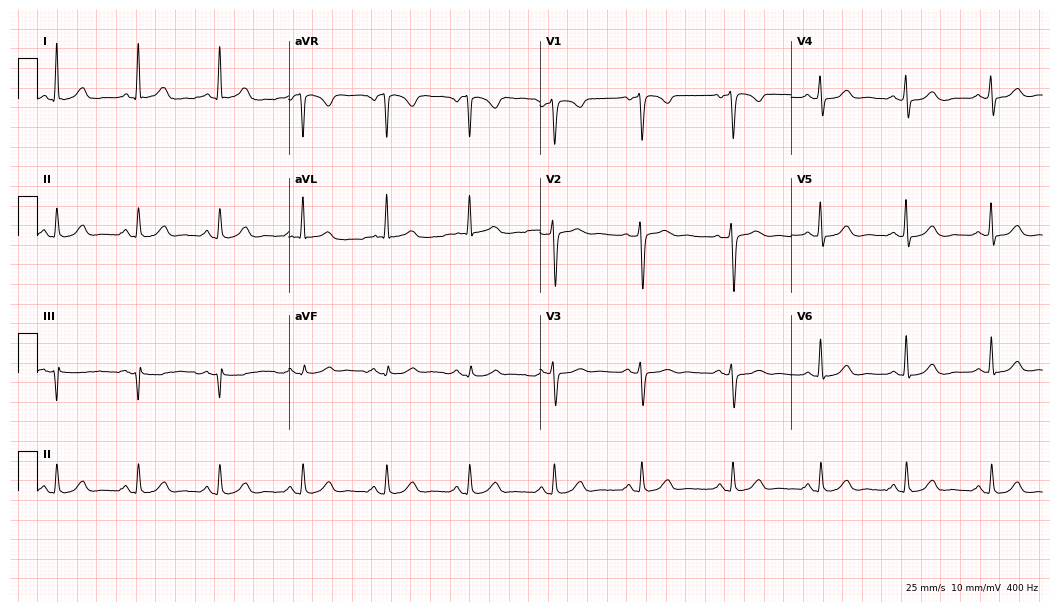
Electrocardiogram (10.2-second recording at 400 Hz), a 58-year-old female. Overall reading on record: normal ECG.